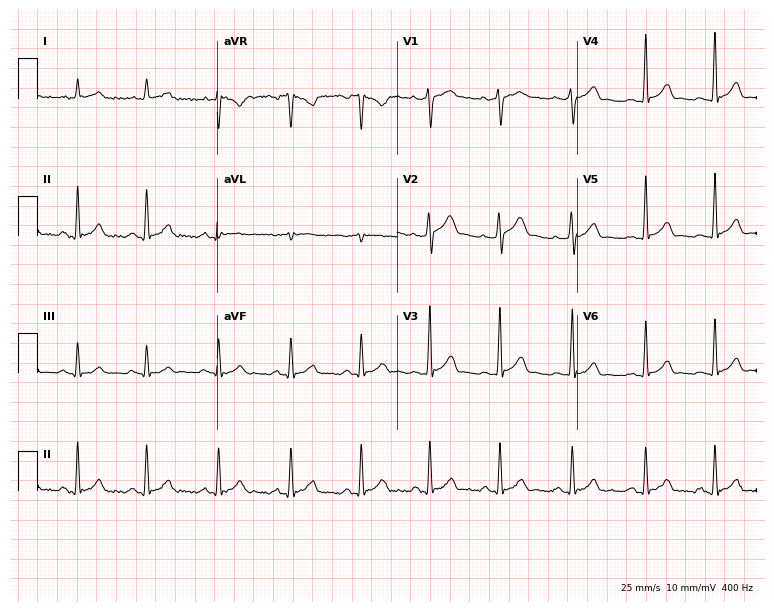
Electrocardiogram, a male, 26 years old. Of the six screened findings (first-degree AV block, right bundle branch block, left bundle branch block, sinus bradycardia, atrial fibrillation, sinus tachycardia), none is recorded. Other findings, if any, are not listed.